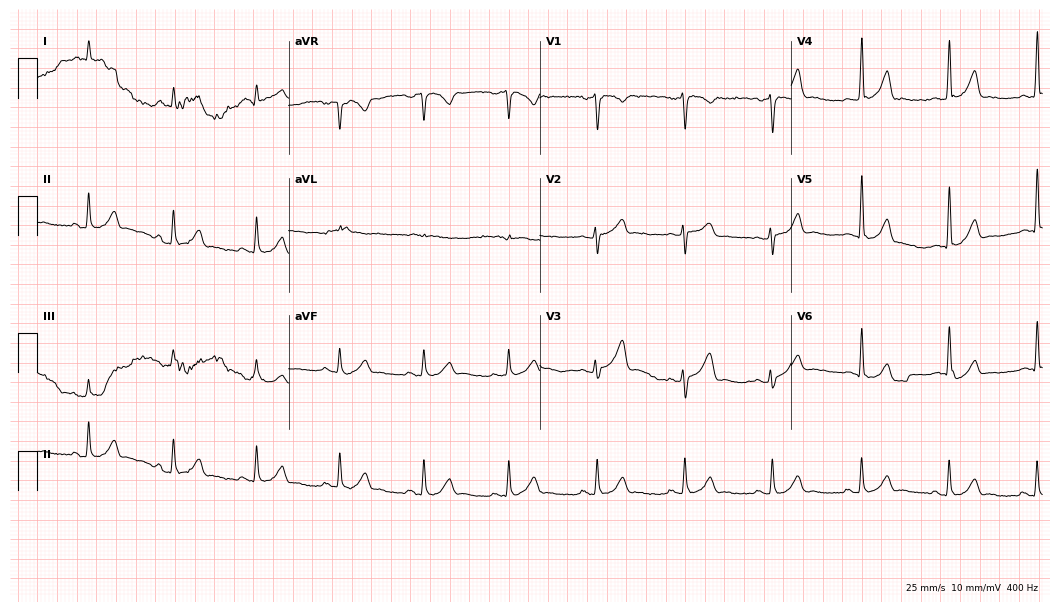
12-lead ECG from a 49-year-old male patient. Recorded interpretation: within normal limits.